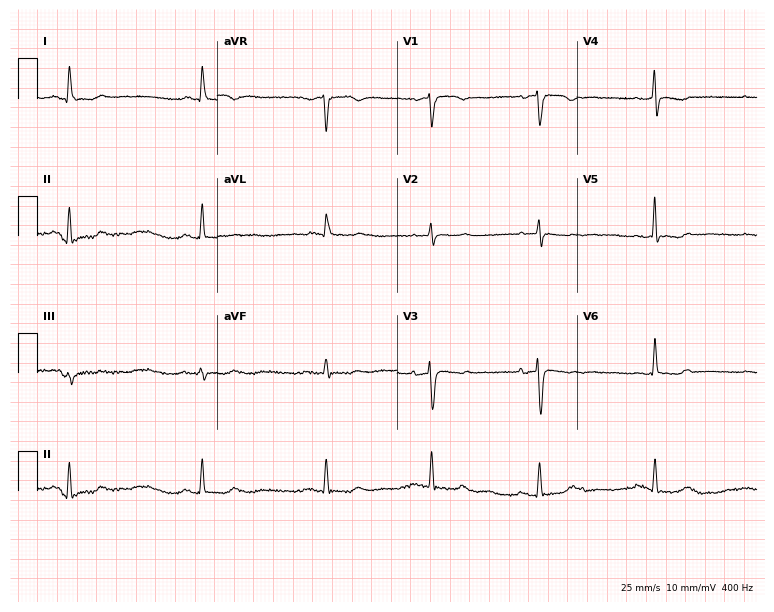
ECG — a 64-year-old female patient. Screened for six findings — first-degree AV block, right bundle branch block (RBBB), left bundle branch block (LBBB), sinus bradycardia, atrial fibrillation (AF), sinus tachycardia — none is recorded.